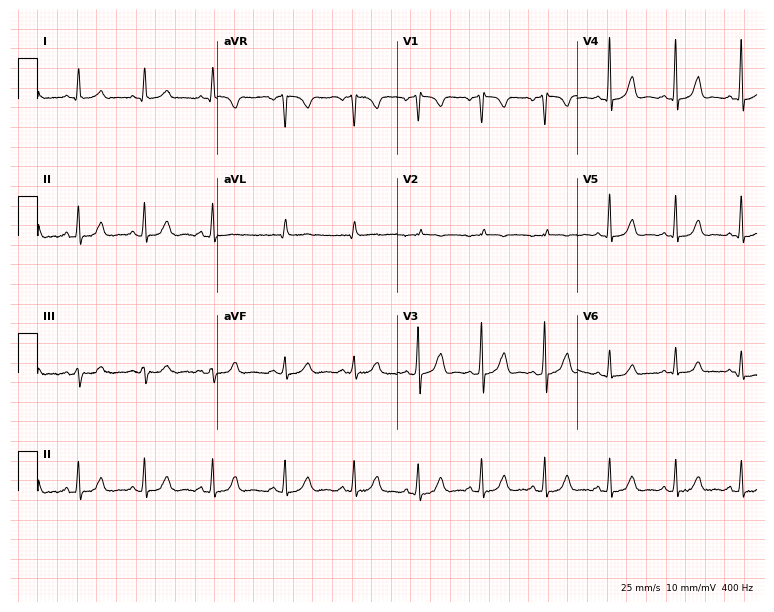
ECG — a female patient, 48 years old. Labelled as a normal ECG.